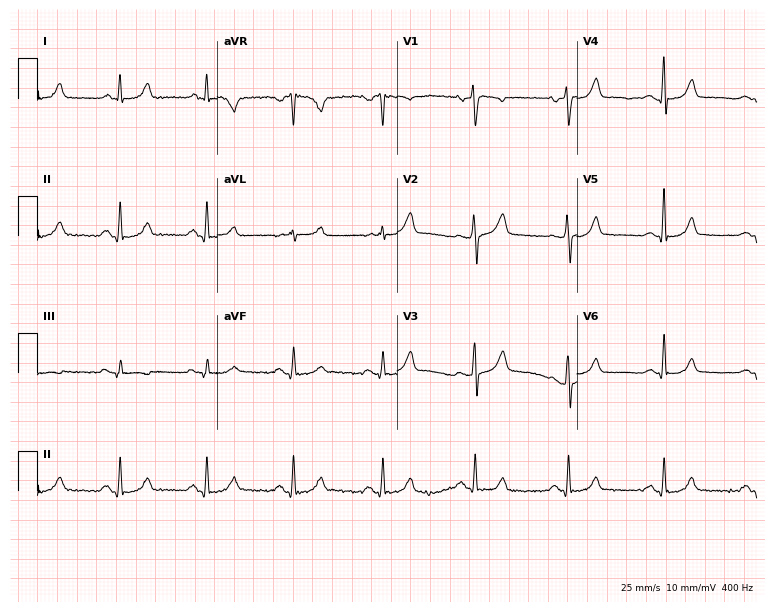
Electrocardiogram, a 49-year-old female patient. Overall reading on record: normal ECG.